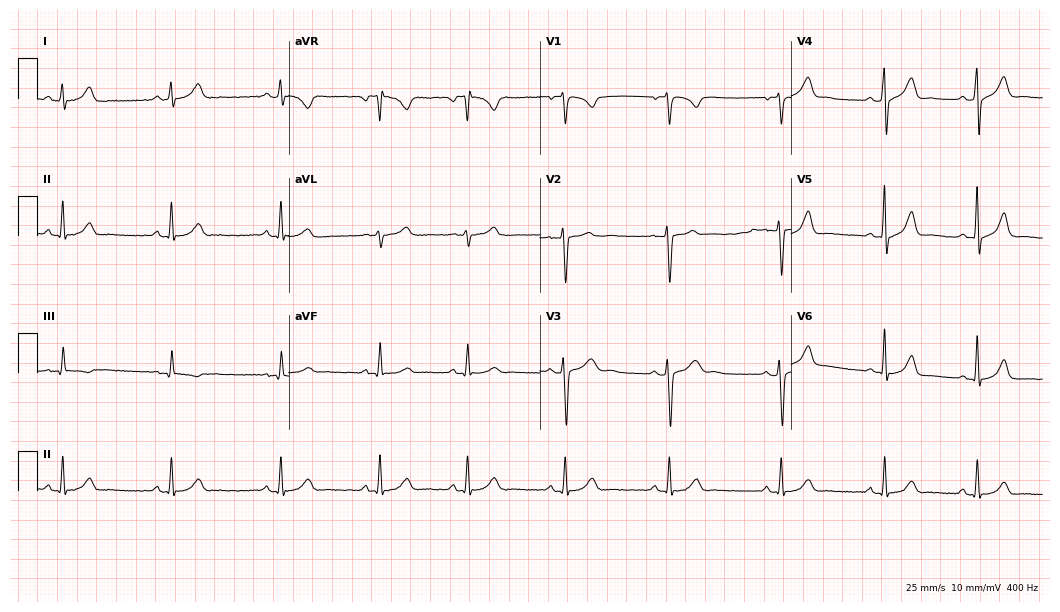
Standard 12-lead ECG recorded from a 30-year-old man (10.2-second recording at 400 Hz). Read as a normal ECG.